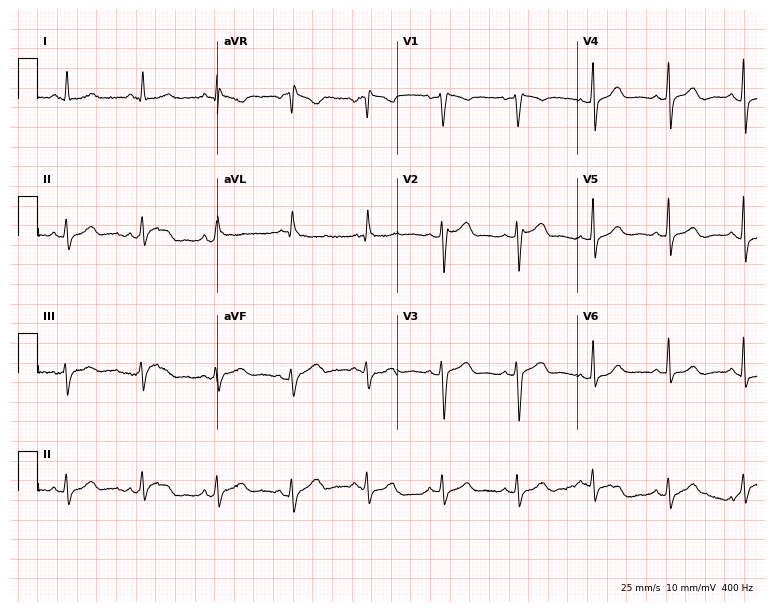
Electrocardiogram (7.3-second recording at 400 Hz), a female patient, 59 years old. Overall reading on record: normal ECG.